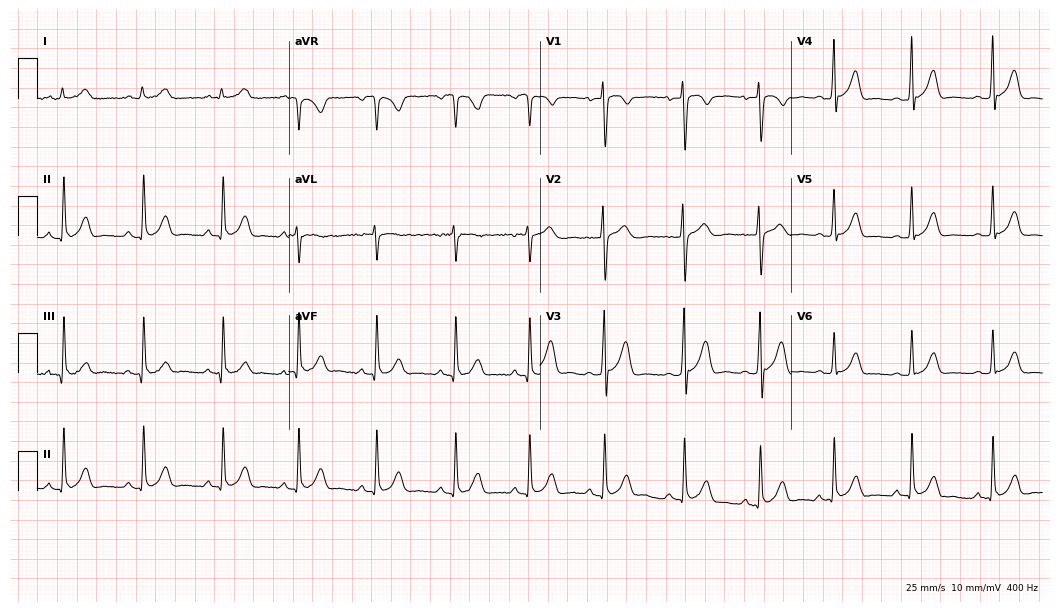
Resting 12-lead electrocardiogram (10.2-second recording at 400 Hz). Patient: a 21-year-old female. None of these six findings is recorded: first-degree AV block, right bundle branch block, left bundle branch block, sinus bradycardia, atrial fibrillation, sinus tachycardia. Findings outside these six are not listed.